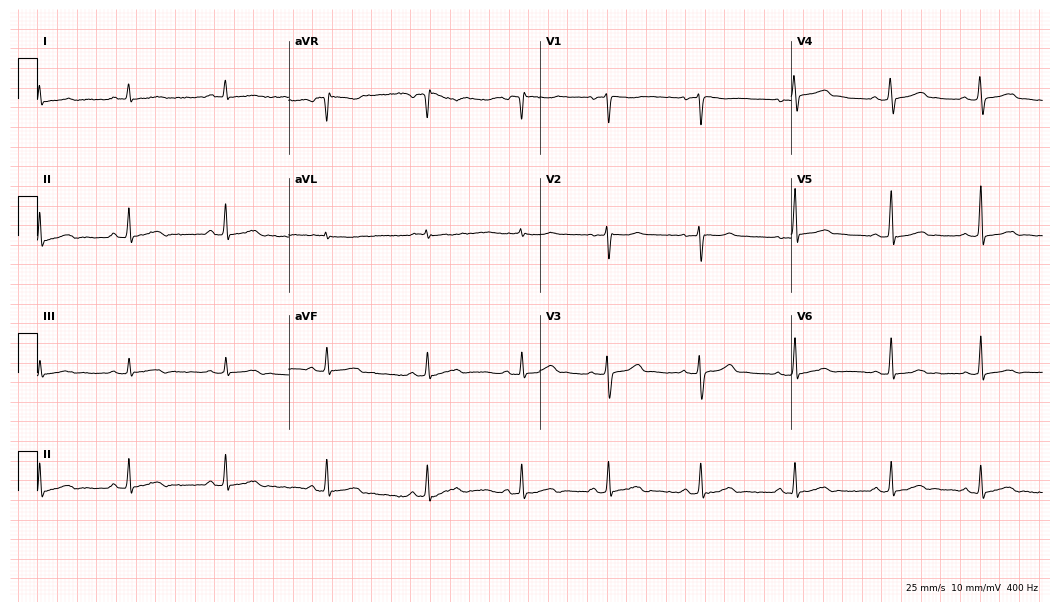
Standard 12-lead ECG recorded from a female patient, 31 years old (10.2-second recording at 400 Hz). Read as a normal ECG.